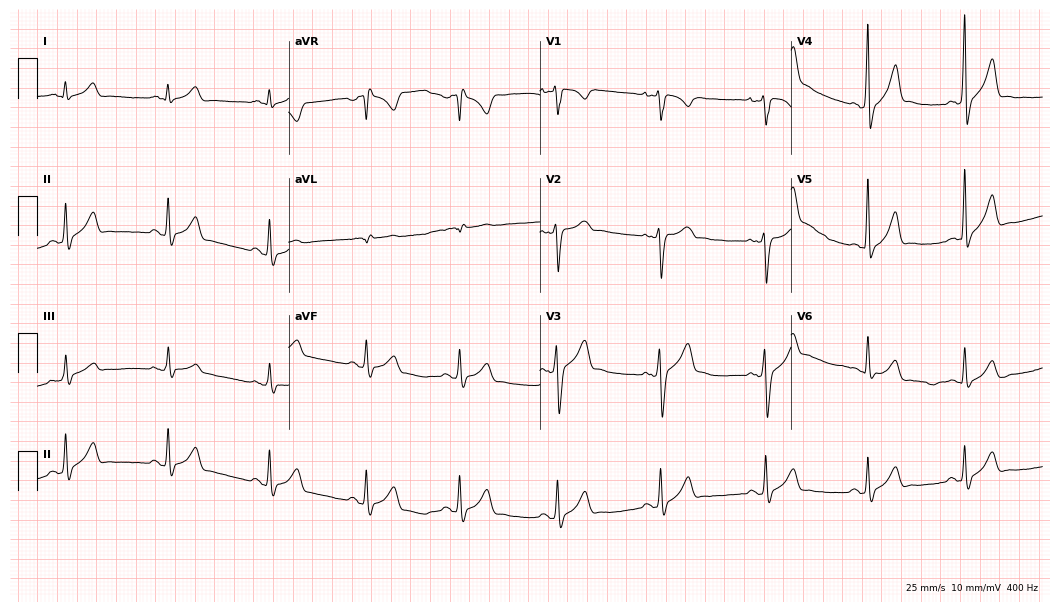
Resting 12-lead electrocardiogram (10.2-second recording at 400 Hz). Patient: a 26-year-old male. None of these six findings is recorded: first-degree AV block, right bundle branch block, left bundle branch block, sinus bradycardia, atrial fibrillation, sinus tachycardia. Only these six findings were labelled.